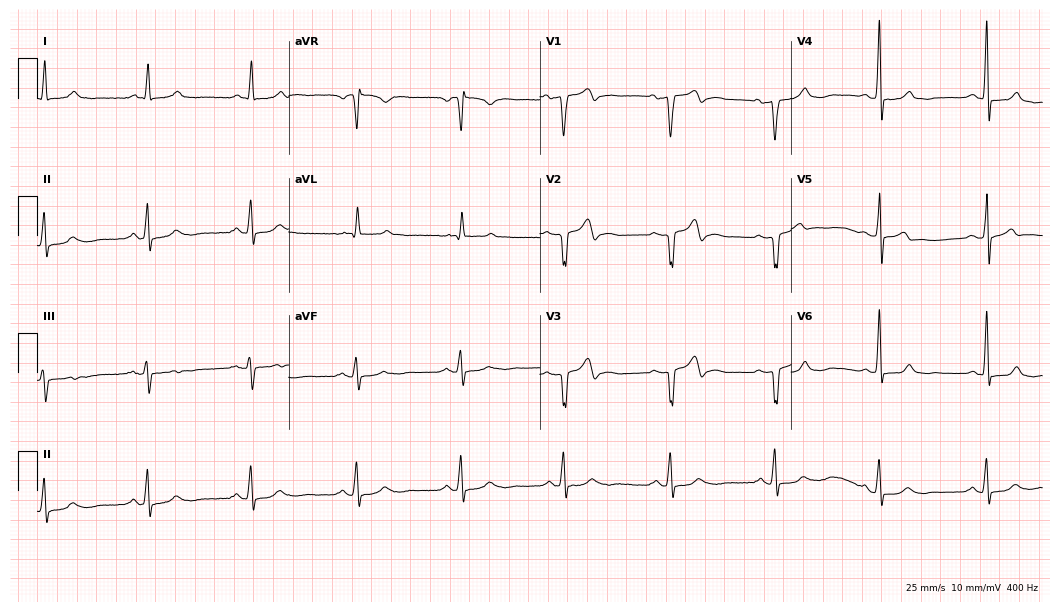
Resting 12-lead electrocardiogram (10.2-second recording at 400 Hz). Patient: a 74-year-old man. None of these six findings is recorded: first-degree AV block, right bundle branch block (RBBB), left bundle branch block (LBBB), sinus bradycardia, atrial fibrillation (AF), sinus tachycardia. Only these six findings were labelled.